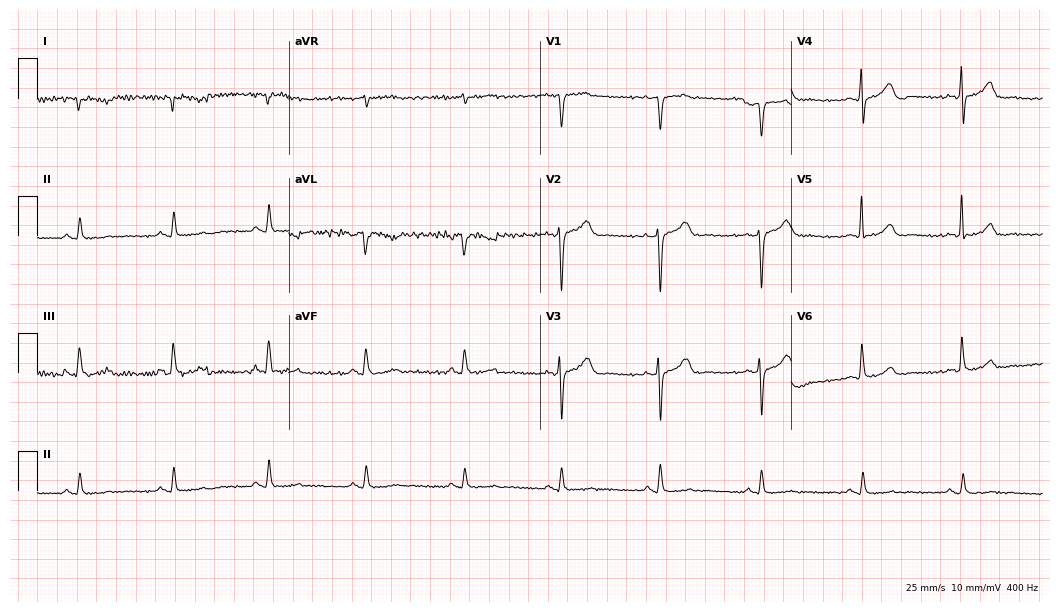
Electrocardiogram (10.2-second recording at 400 Hz), a male patient, 83 years old. Of the six screened findings (first-degree AV block, right bundle branch block, left bundle branch block, sinus bradycardia, atrial fibrillation, sinus tachycardia), none is recorded. Only these six findings were labelled.